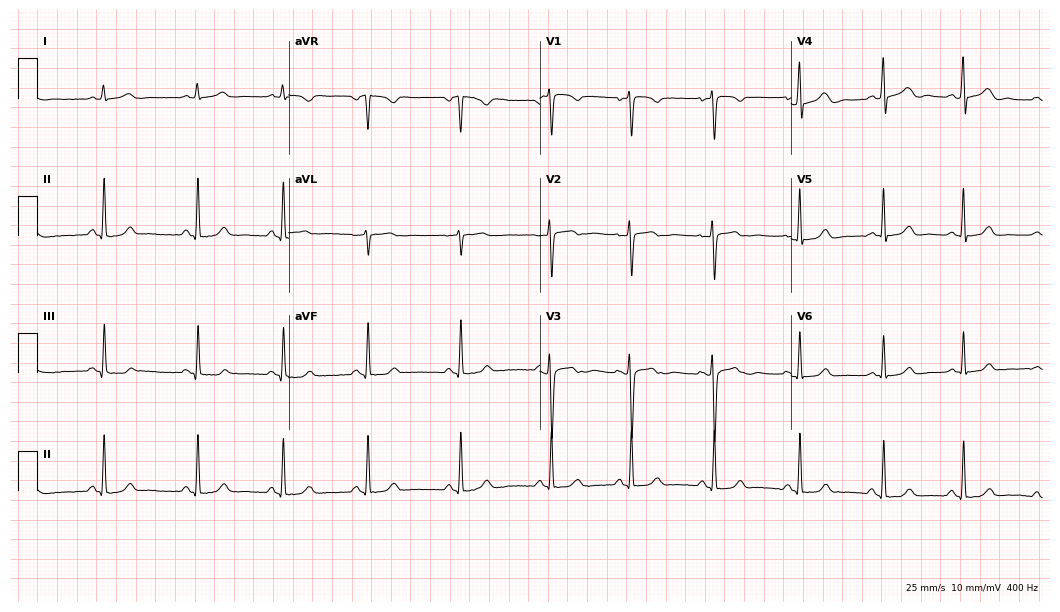
12-lead ECG (10.2-second recording at 400 Hz) from a 40-year-old woman. Screened for six findings — first-degree AV block, right bundle branch block, left bundle branch block, sinus bradycardia, atrial fibrillation, sinus tachycardia — none is recorded. Only these six findings were labelled.